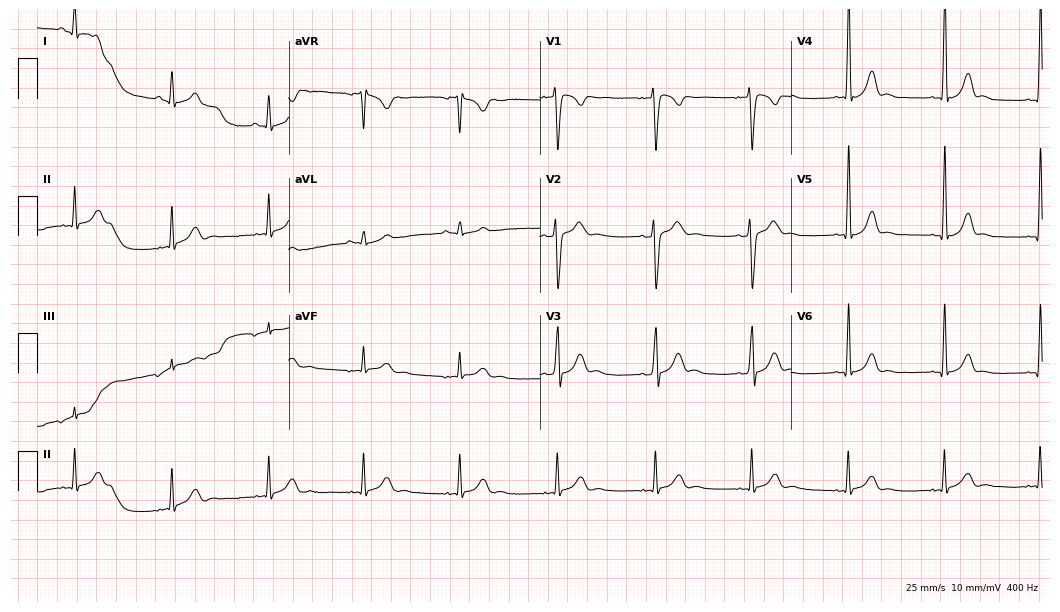
Resting 12-lead electrocardiogram. Patient: a 17-year-old male. Read as a normal ECG.